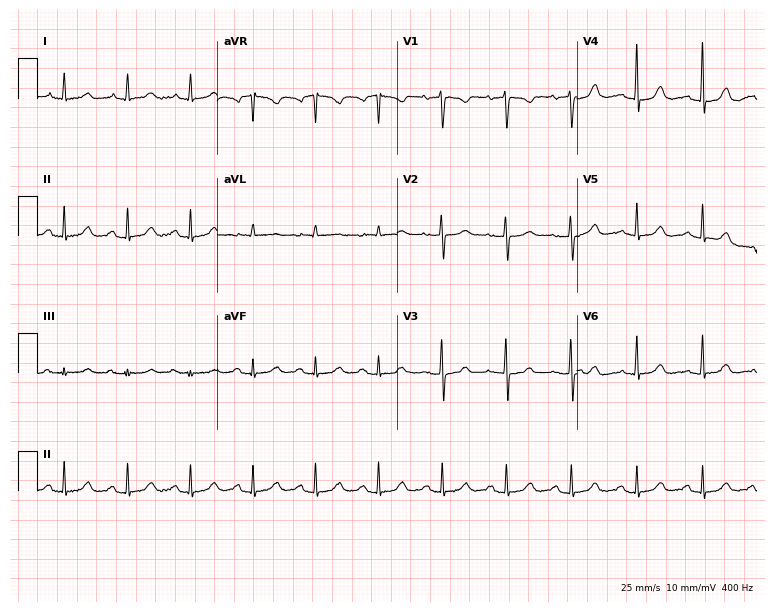
12-lead ECG (7.3-second recording at 400 Hz) from a female patient, 77 years old. Labelled as a normal ECG.